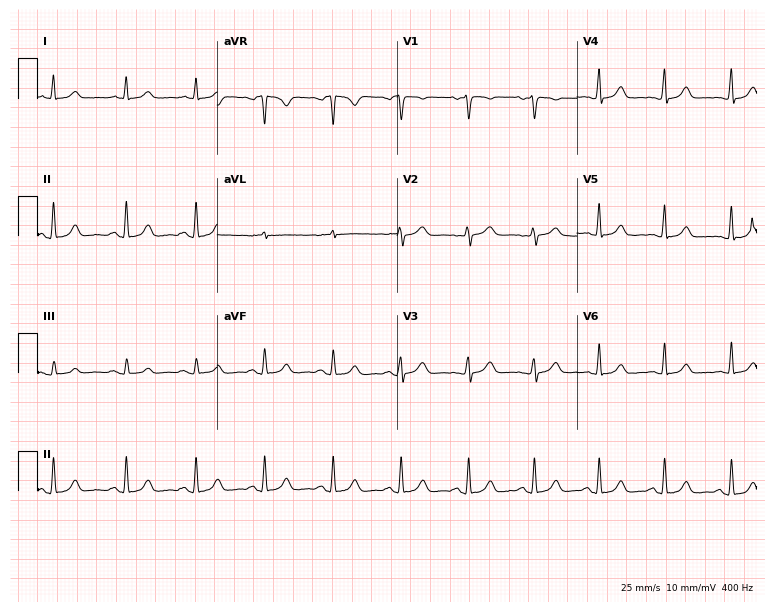
Resting 12-lead electrocardiogram (7.3-second recording at 400 Hz). Patient: a woman, 45 years old. None of these six findings is recorded: first-degree AV block, right bundle branch block, left bundle branch block, sinus bradycardia, atrial fibrillation, sinus tachycardia.